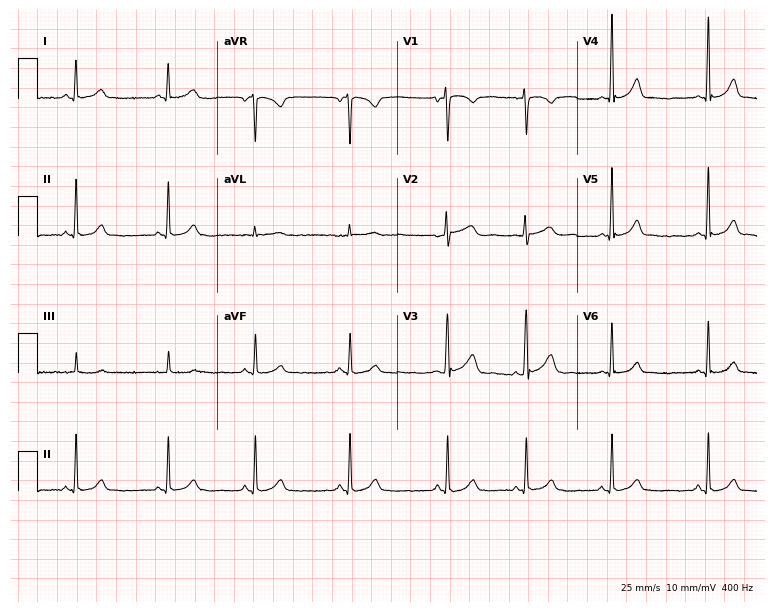
Electrocardiogram, a female, 24 years old. Overall reading on record: normal ECG.